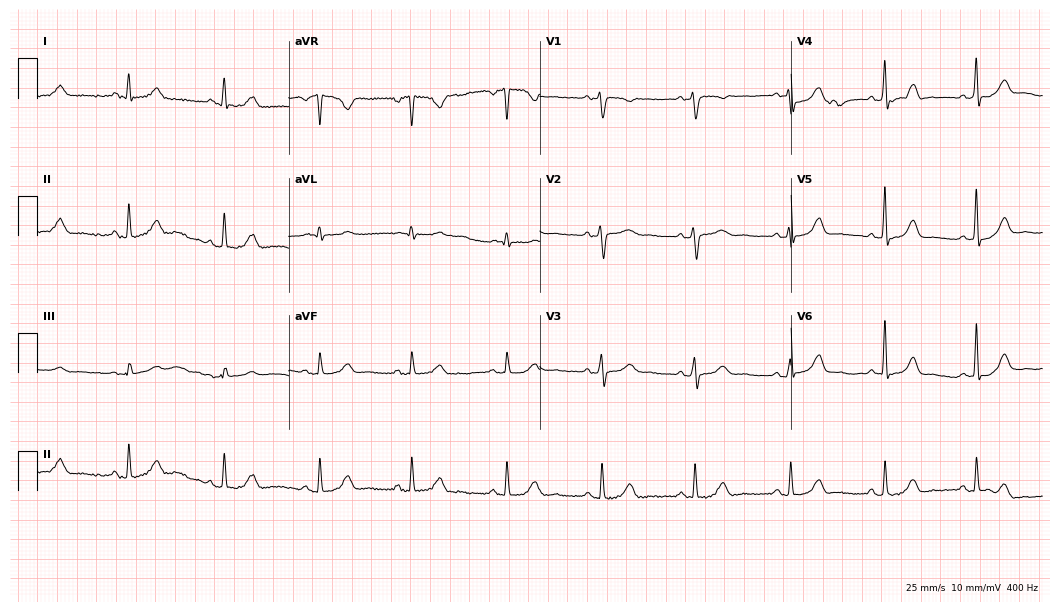
Electrocardiogram (10.2-second recording at 400 Hz), a 57-year-old female patient. Overall reading on record: normal ECG.